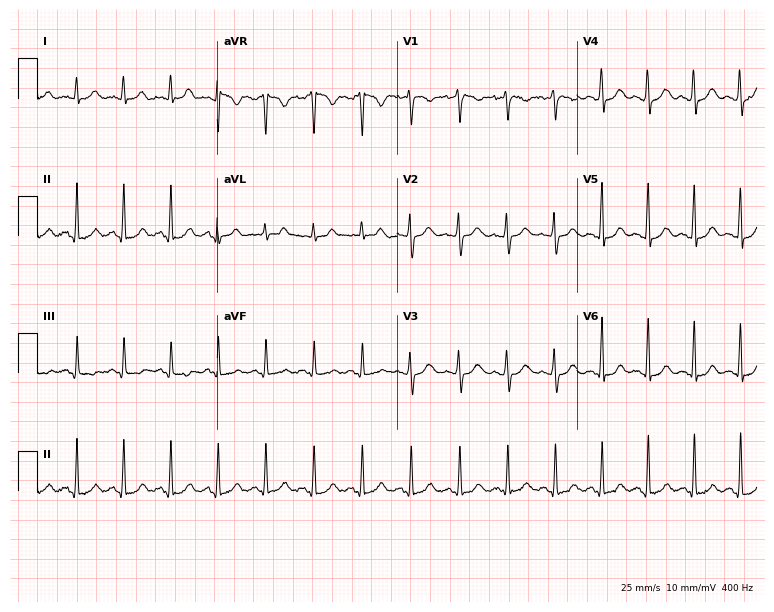
12-lead ECG from a 19-year-old female. Screened for six findings — first-degree AV block, right bundle branch block, left bundle branch block, sinus bradycardia, atrial fibrillation, sinus tachycardia — none is recorded. Other findings, if any, are not listed.